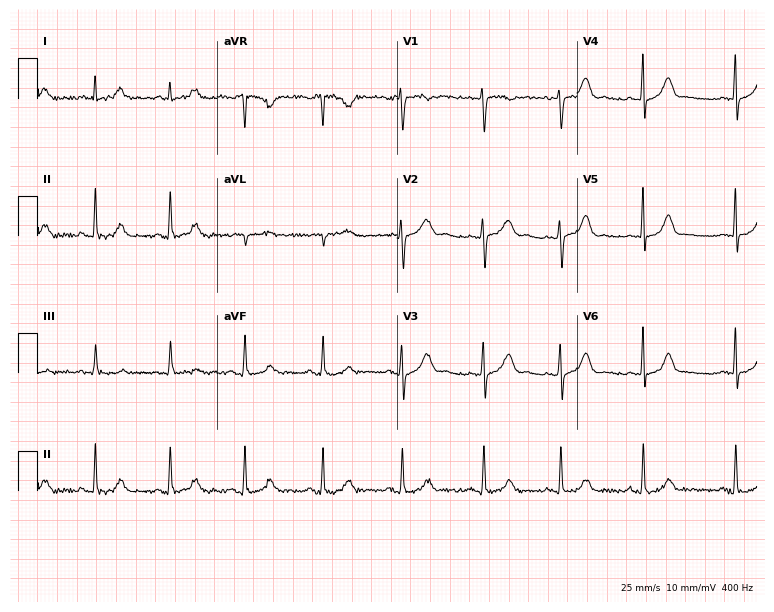
Electrocardiogram, a female patient, 38 years old. Of the six screened findings (first-degree AV block, right bundle branch block, left bundle branch block, sinus bradycardia, atrial fibrillation, sinus tachycardia), none is recorded.